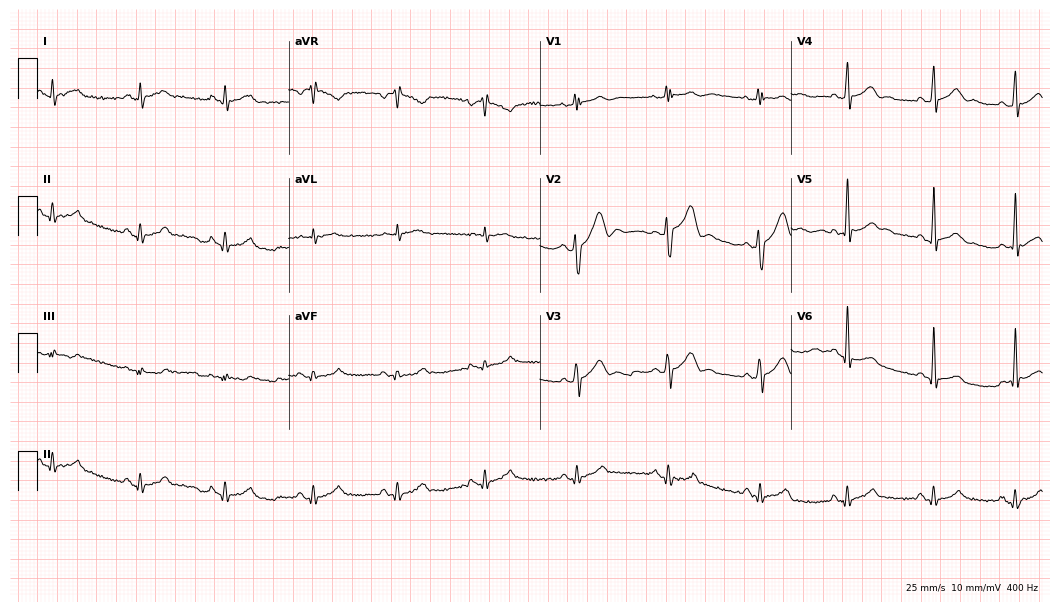
12-lead ECG from a 29-year-old male (10.2-second recording at 400 Hz). Recorded interpretation: within normal limits.